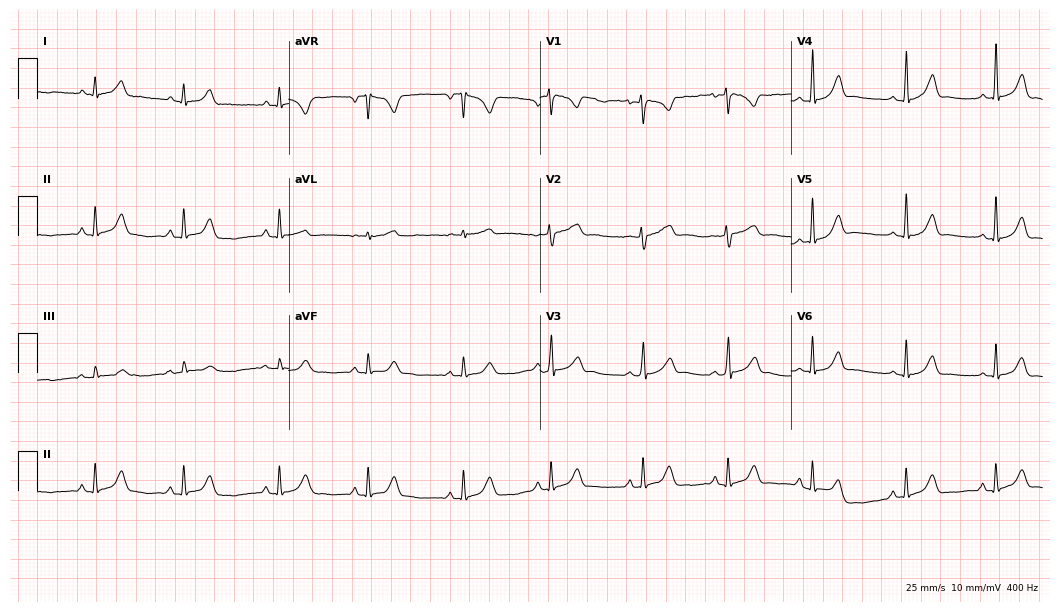
12-lead ECG (10.2-second recording at 400 Hz) from a 30-year-old woman. Labelled as a normal ECG.